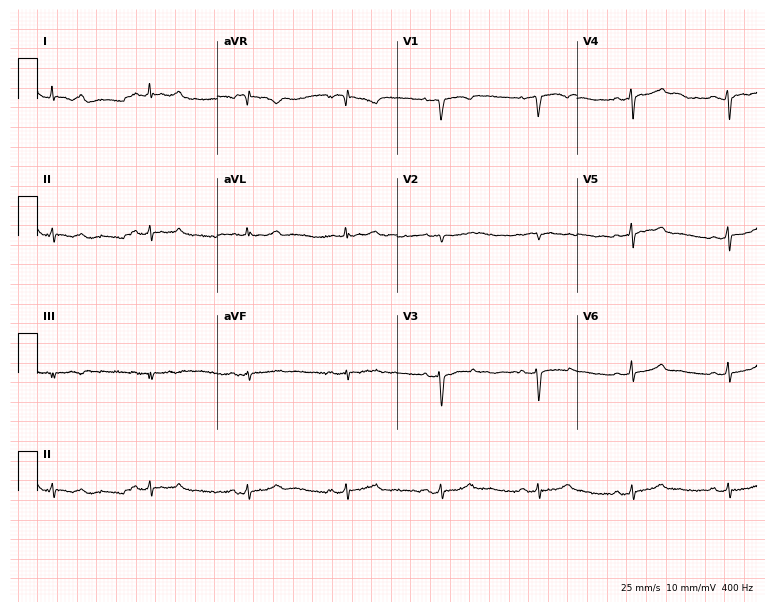
Electrocardiogram, a 52-year-old woman. Of the six screened findings (first-degree AV block, right bundle branch block (RBBB), left bundle branch block (LBBB), sinus bradycardia, atrial fibrillation (AF), sinus tachycardia), none is recorded. Only these six findings were labelled.